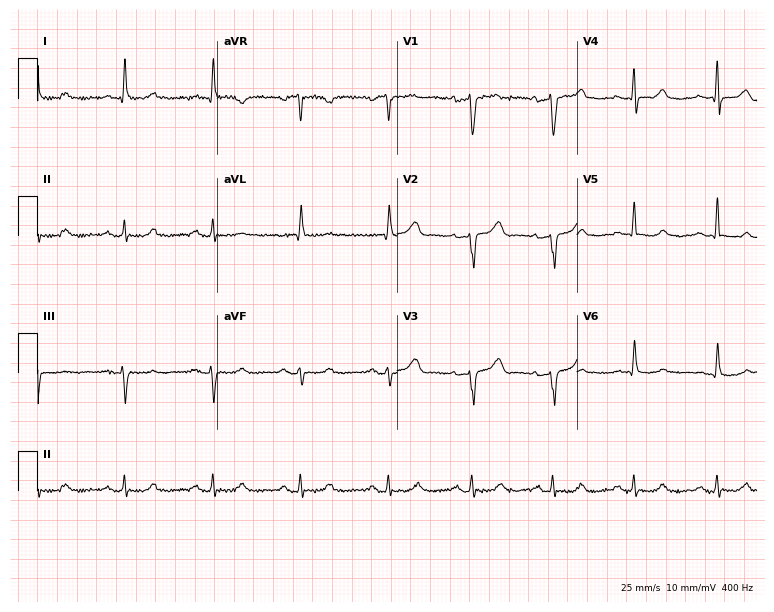
Standard 12-lead ECG recorded from a woman, 70 years old (7.3-second recording at 400 Hz). None of these six findings is recorded: first-degree AV block, right bundle branch block, left bundle branch block, sinus bradycardia, atrial fibrillation, sinus tachycardia.